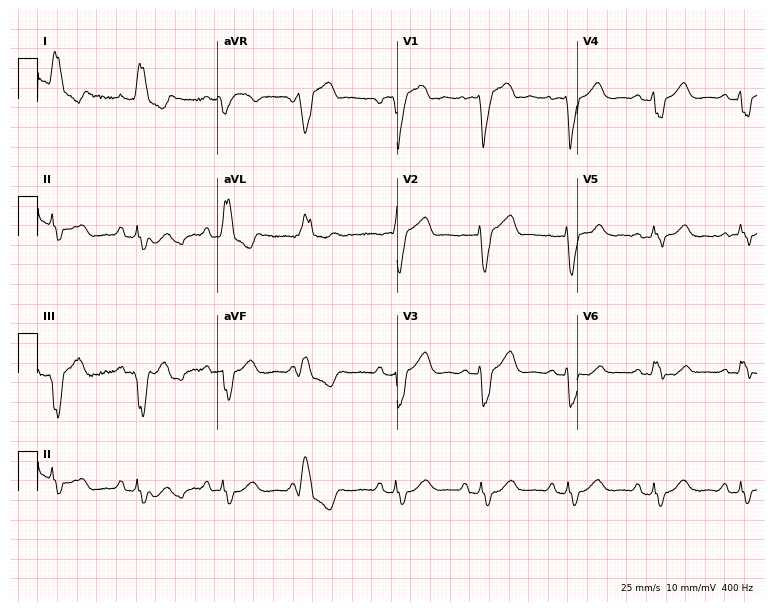
ECG (7.3-second recording at 400 Hz) — a woman, 80 years old. Findings include left bundle branch block.